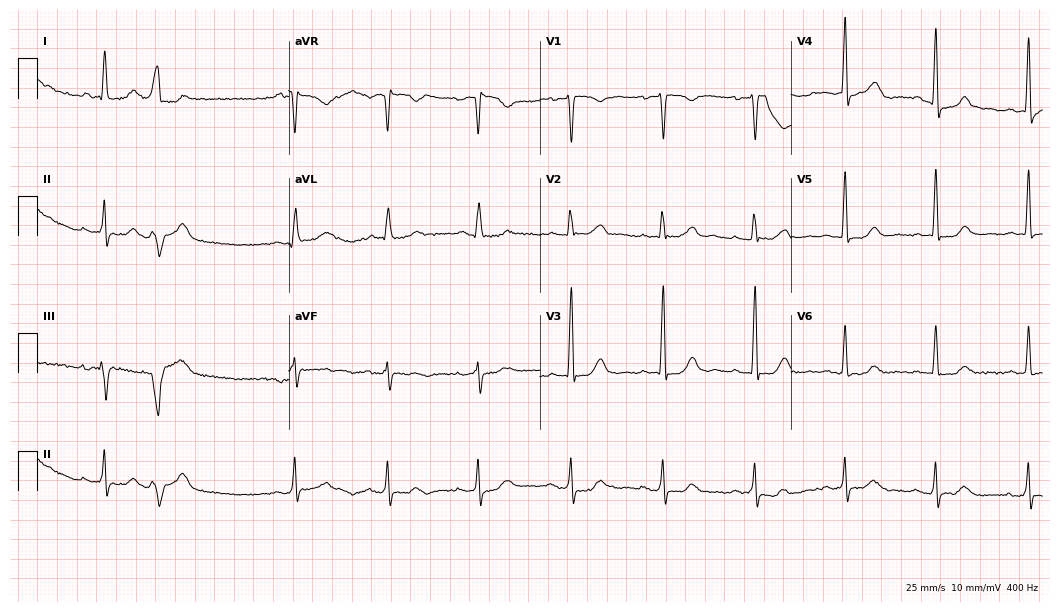
Electrocardiogram (10.2-second recording at 400 Hz), a 58-year-old female. Of the six screened findings (first-degree AV block, right bundle branch block, left bundle branch block, sinus bradycardia, atrial fibrillation, sinus tachycardia), none is recorded.